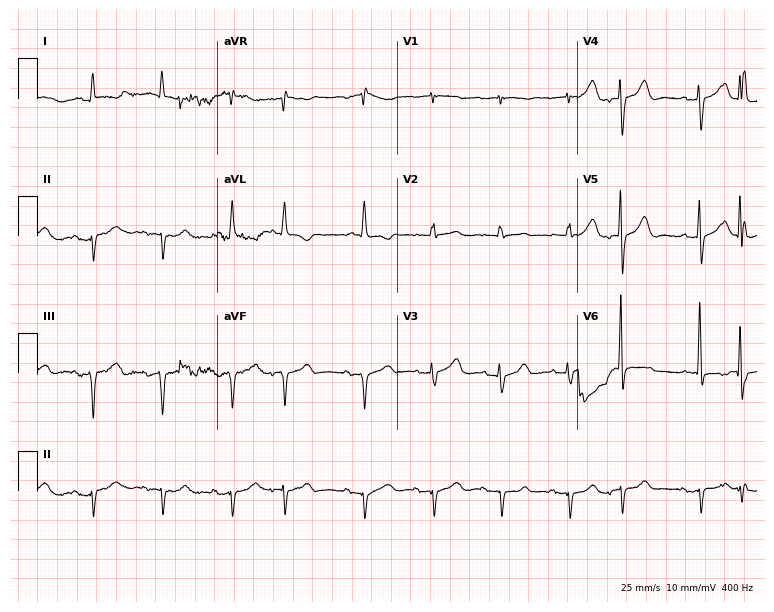
Standard 12-lead ECG recorded from a 76-year-old male (7.3-second recording at 400 Hz). None of these six findings is recorded: first-degree AV block, right bundle branch block, left bundle branch block, sinus bradycardia, atrial fibrillation, sinus tachycardia. Only these six findings were labelled.